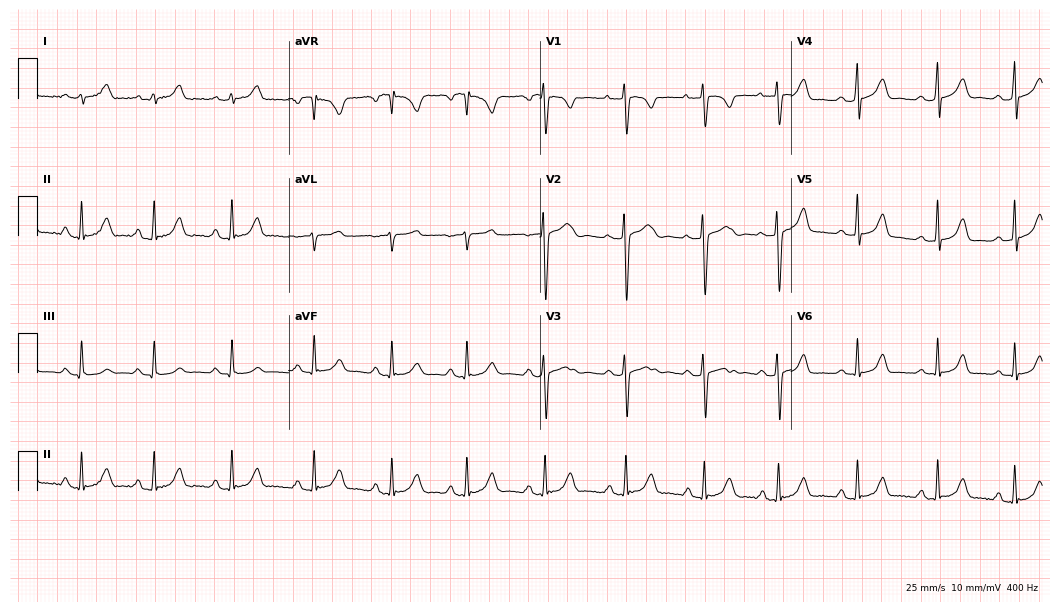
ECG (10.2-second recording at 400 Hz) — a 23-year-old female patient. Labelled as a normal ECG.